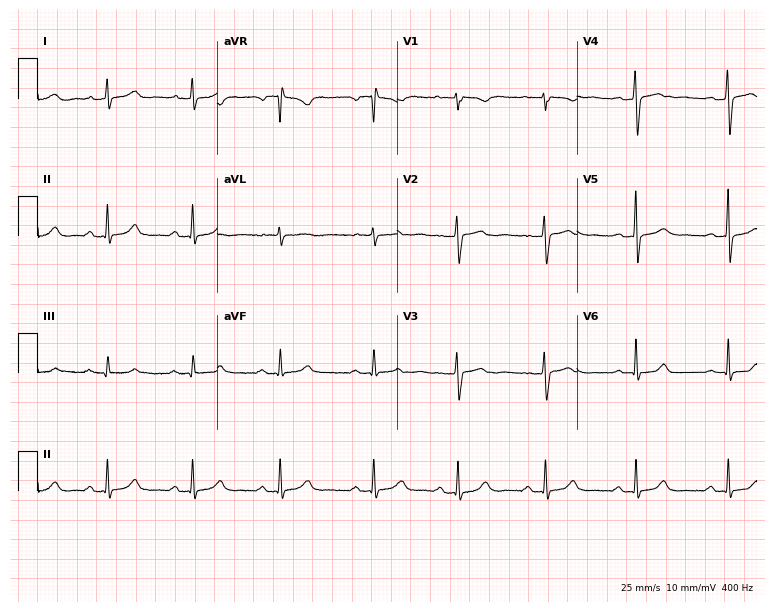
Resting 12-lead electrocardiogram (7.3-second recording at 400 Hz). Patient: a 35-year-old woman. The tracing shows first-degree AV block.